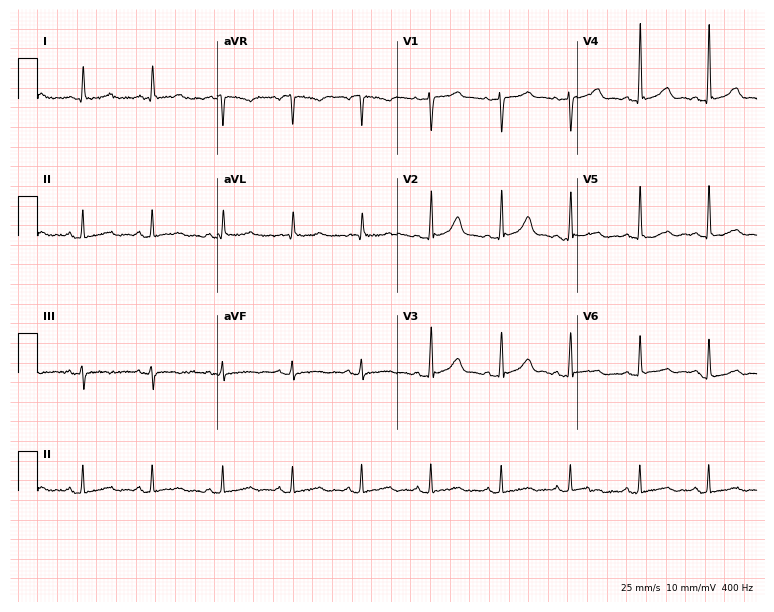
ECG (7.3-second recording at 400 Hz) — a 77-year-old female. Screened for six findings — first-degree AV block, right bundle branch block, left bundle branch block, sinus bradycardia, atrial fibrillation, sinus tachycardia — none is recorded. Only these six findings were labelled.